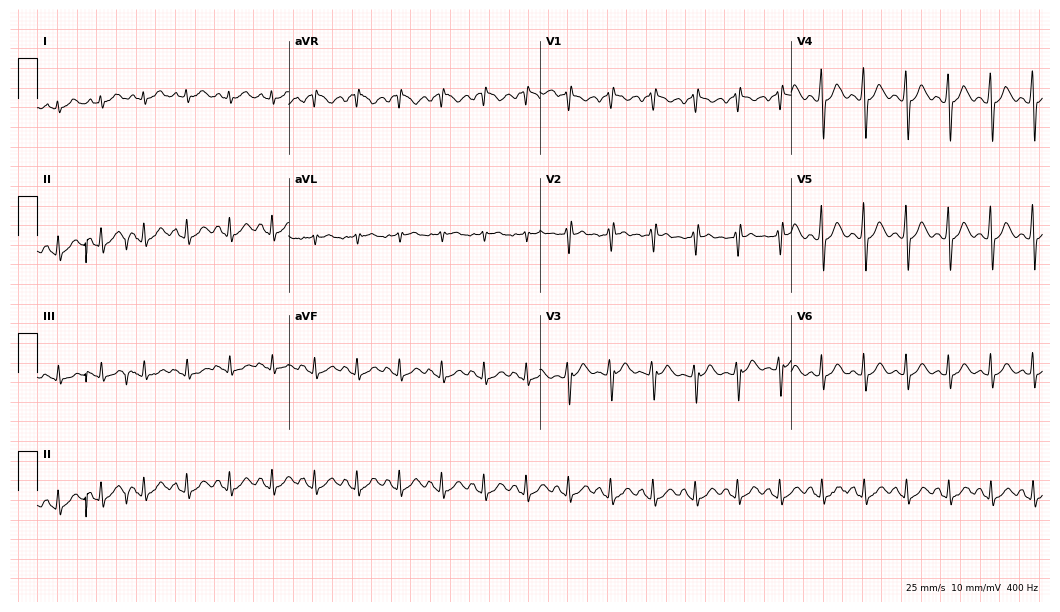
Resting 12-lead electrocardiogram. Patient: a male, 45 years old. The tracing shows sinus tachycardia (a sinus rate of 100 beats per minute or more).